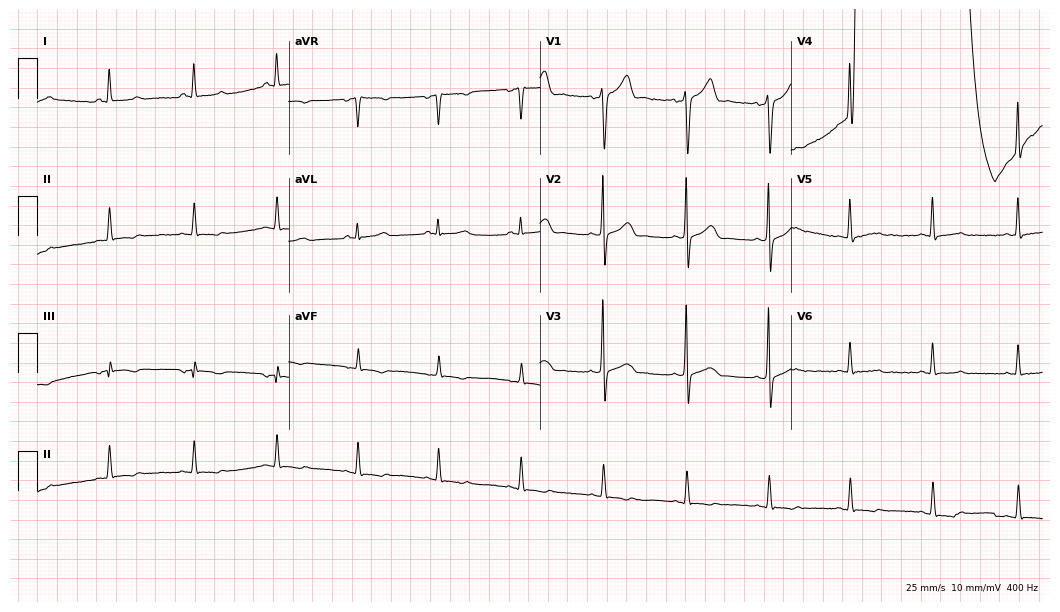
ECG (10.2-second recording at 400 Hz) — a male patient, 46 years old. Screened for six findings — first-degree AV block, right bundle branch block, left bundle branch block, sinus bradycardia, atrial fibrillation, sinus tachycardia — none is recorded.